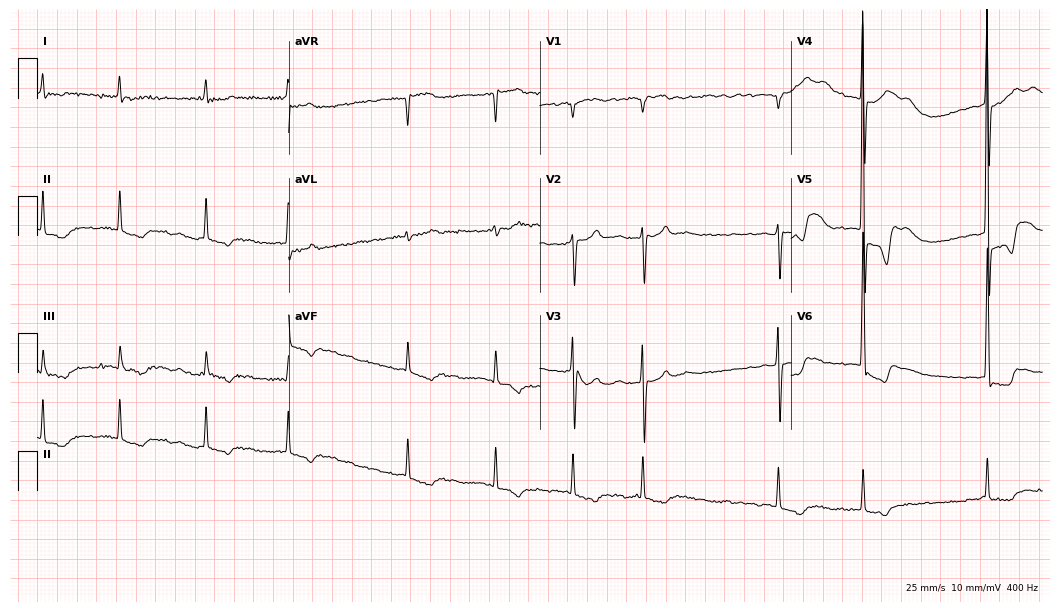
Resting 12-lead electrocardiogram (10.2-second recording at 400 Hz). Patient: a female, 85 years old. The tracing shows atrial fibrillation.